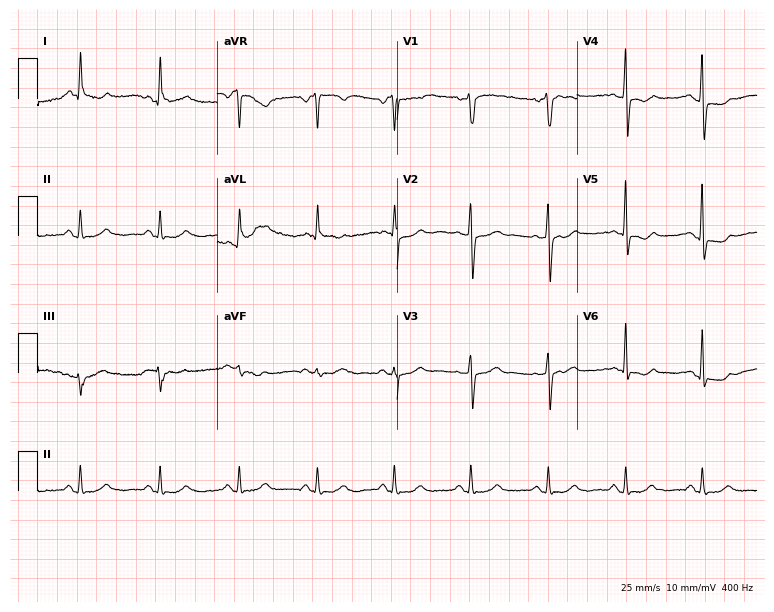
ECG — a 62-year-old female patient. Screened for six findings — first-degree AV block, right bundle branch block (RBBB), left bundle branch block (LBBB), sinus bradycardia, atrial fibrillation (AF), sinus tachycardia — none is recorded. Other findings, if any, are not listed.